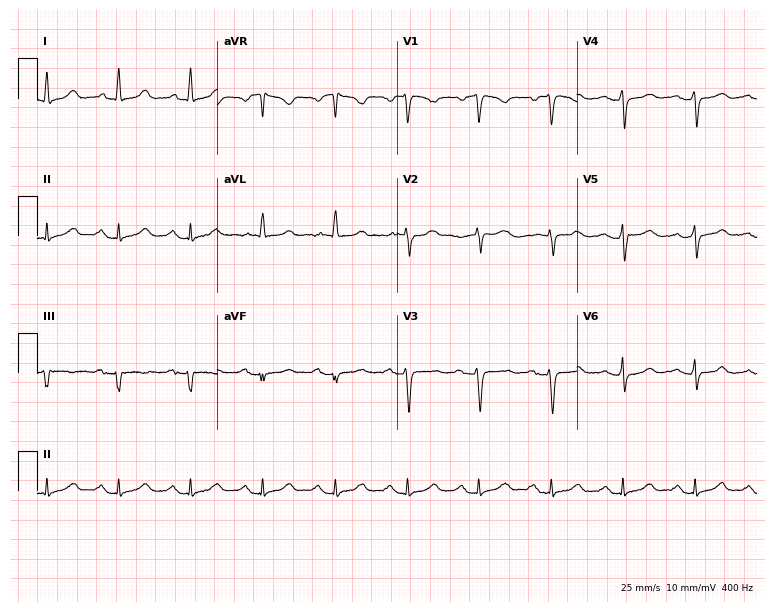
ECG (7.3-second recording at 400 Hz) — a woman, 51 years old. Screened for six findings — first-degree AV block, right bundle branch block, left bundle branch block, sinus bradycardia, atrial fibrillation, sinus tachycardia — none is recorded. Other findings, if any, are not listed.